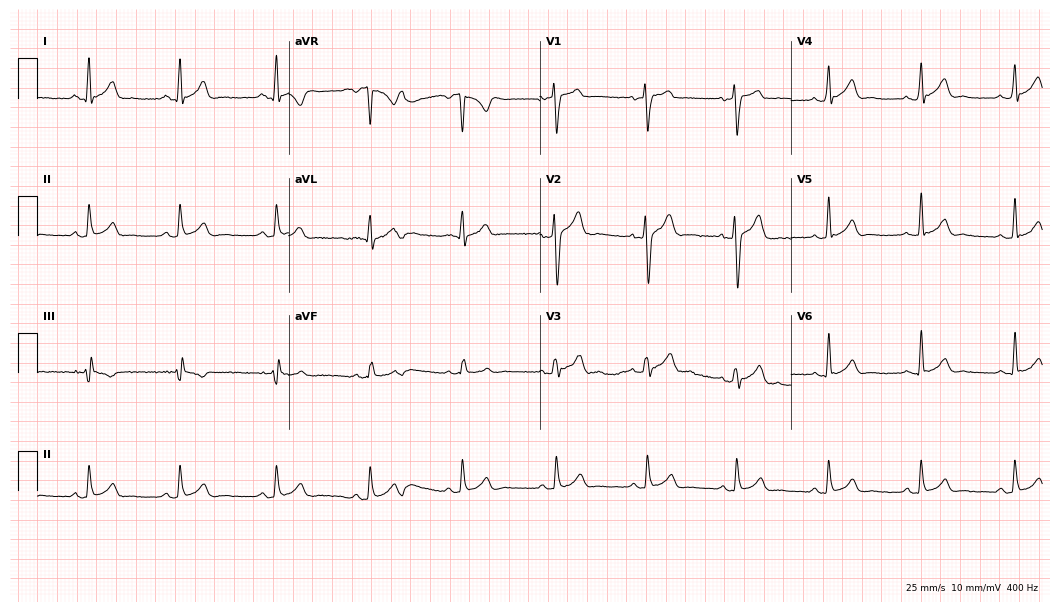
ECG — a 30-year-old male patient. Labelled as a normal ECG.